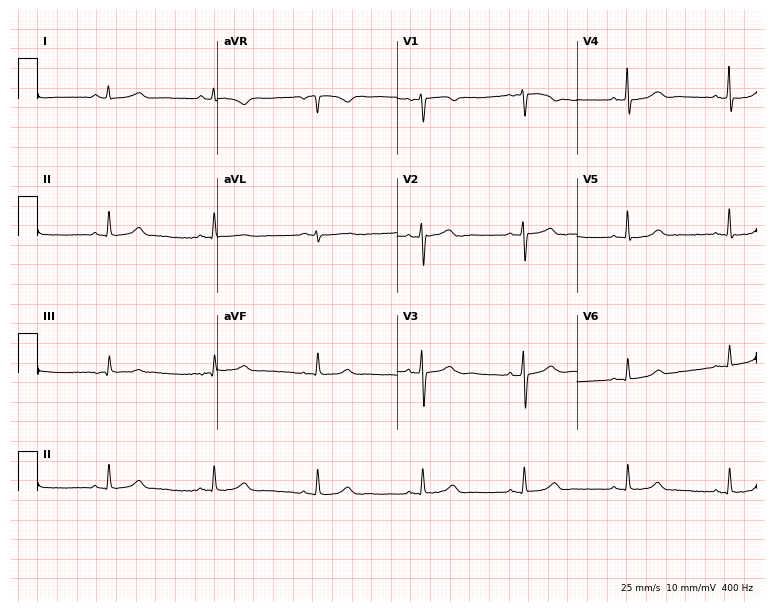
Electrocardiogram (7.3-second recording at 400 Hz), a female, 55 years old. Of the six screened findings (first-degree AV block, right bundle branch block, left bundle branch block, sinus bradycardia, atrial fibrillation, sinus tachycardia), none is recorded. Only these six findings were labelled.